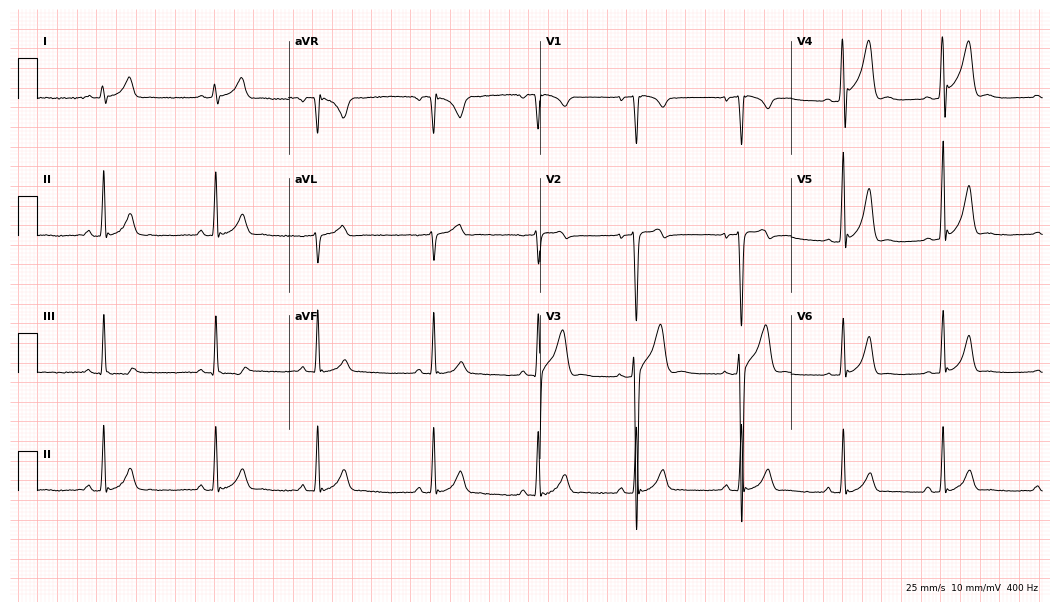
12-lead ECG (10.2-second recording at 400 Hz) from a 17-year-old man. Screened for six findings — first-degree AV block, right bundle branch block, left bundle branch block, sinus bradycardia, atrial fibrillation, sinus tachycardia — none is recorded. Findings outside these six are not listed.